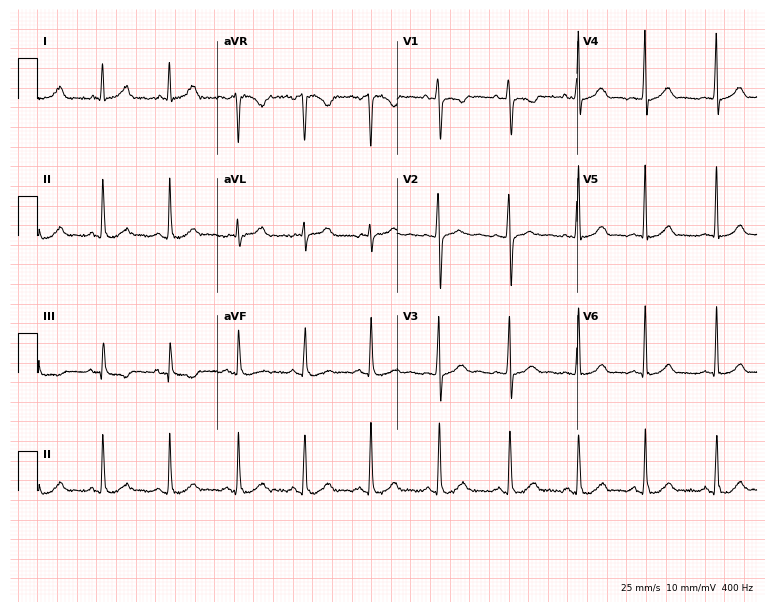
Standard 12-lead ECG recorded from a female patient, 24 years old (7.3-second recording at 400 Hz). Read as a normal ECG.